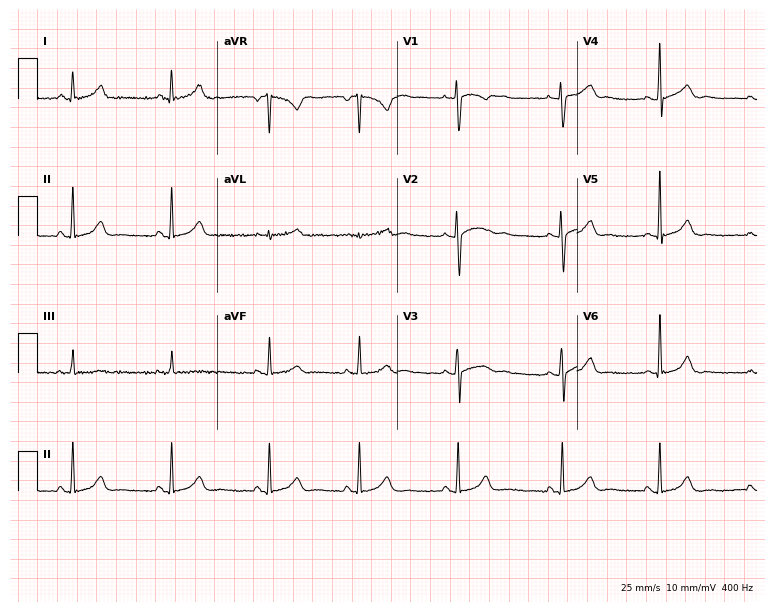
ECG (7.3-second recording at 400 Hz) — a woman, 30 years old. Screened for six findings — first-degree AV block, right bundle branch block, left bundle branch block, sinus bradycardia, atrial fibrillation, sinus tachycardia — none is recorded. Other findings, if any, are not listed.